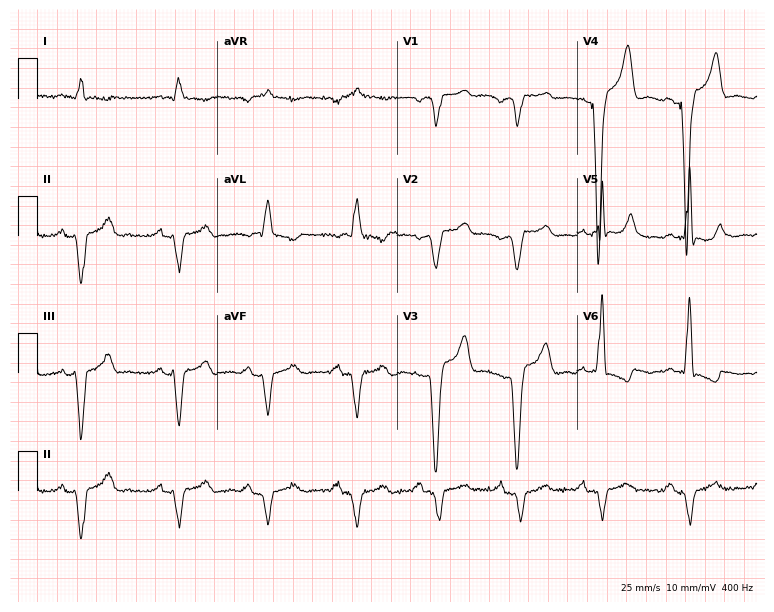
Standard 12-lead ECG recorded from a 66-year-old male (7.3-second recording at 400 Hz). The tracing shows left bundle branch block.